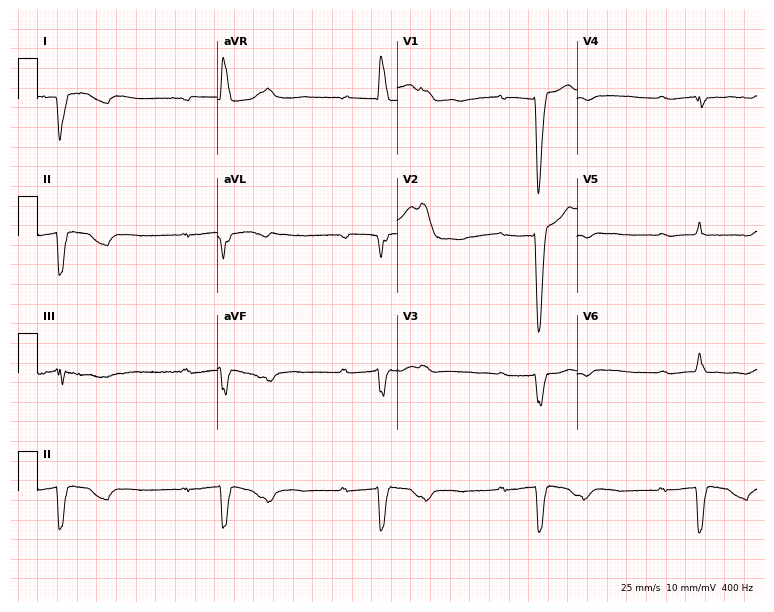
12-lead ECG from a female, 61 years old. Findings include first-degree AV block.